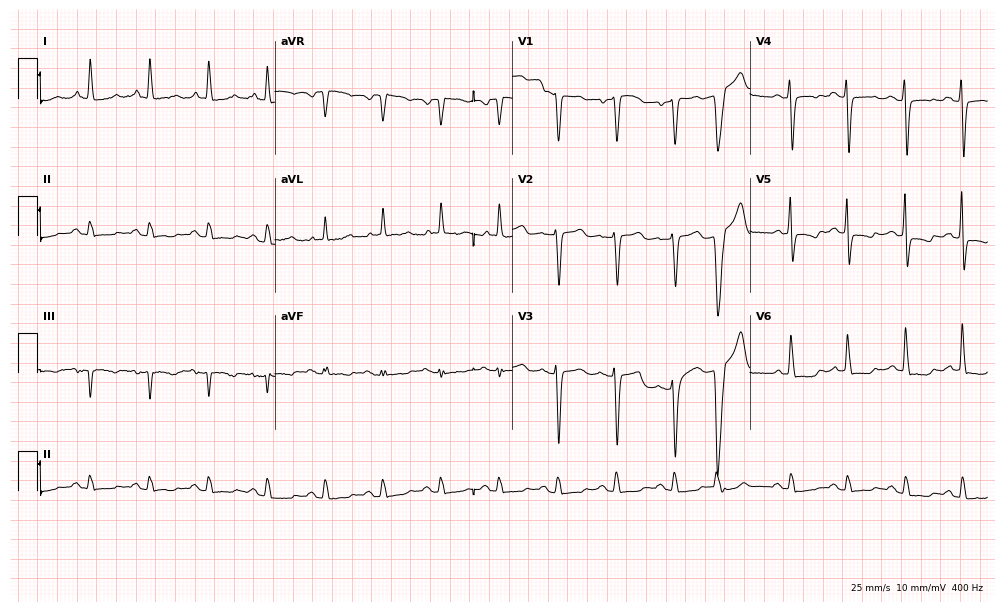
Standard 12-lead ECG recorded from a female, 82 years old (9.7-second recording at 400 Hz). None of these six findings is recorded: first-degree AV block, right bundle branch block (RBBB), left bundle branch block (LBBB), sinus bradycardia, atrial fibrillation (AF), sinus tachycardia. Only these six findings were labelled.